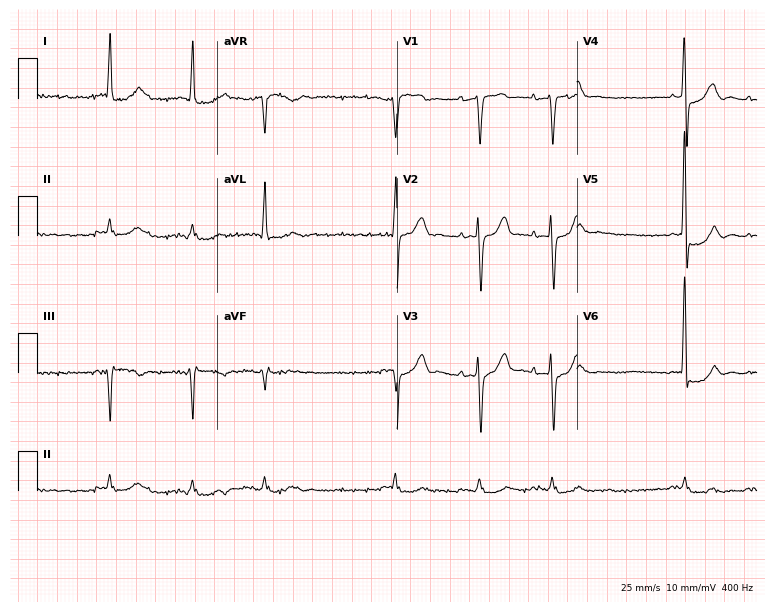
Electrocardiogram, an 84-year-old man. Of the six screened findings (first-degree AV block, right bundle branch block (RBBB), left bundle branch block (LBBB), sinus bradycardia, atrial fibrillation (AF), sinus tachycardia), none is recorded. Other findings, if any, are not listed.